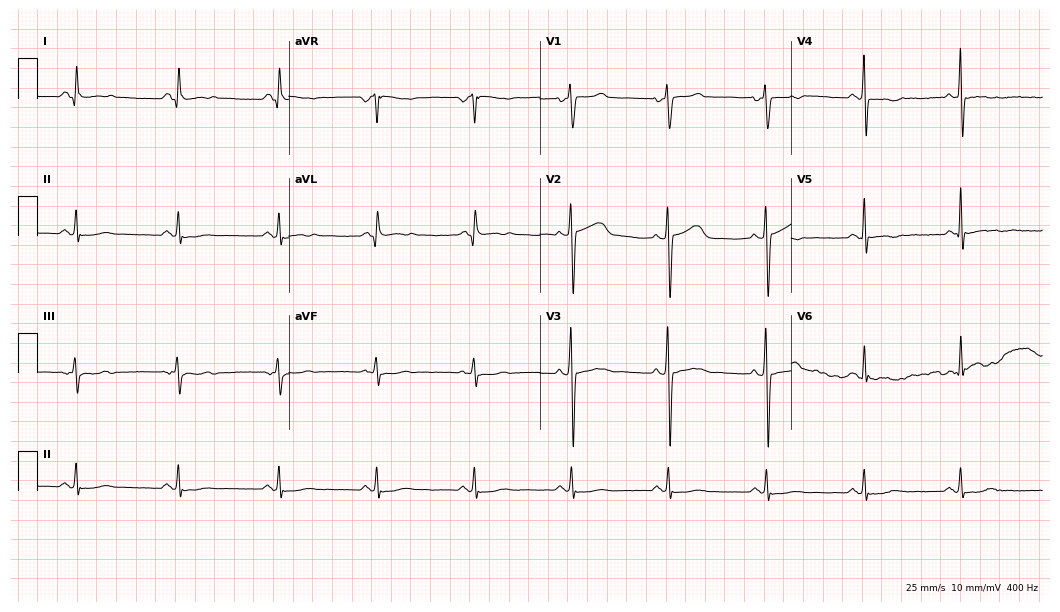
Electrocardiogram, a male patient, 62 years old. Of the six screened findings (first-degree AV block, right bundle branch block, left bundle branch block, sinus bradycardia, atrial fibrillation, sinus tachycardia), none is recorded. Only these six findings were labelled.